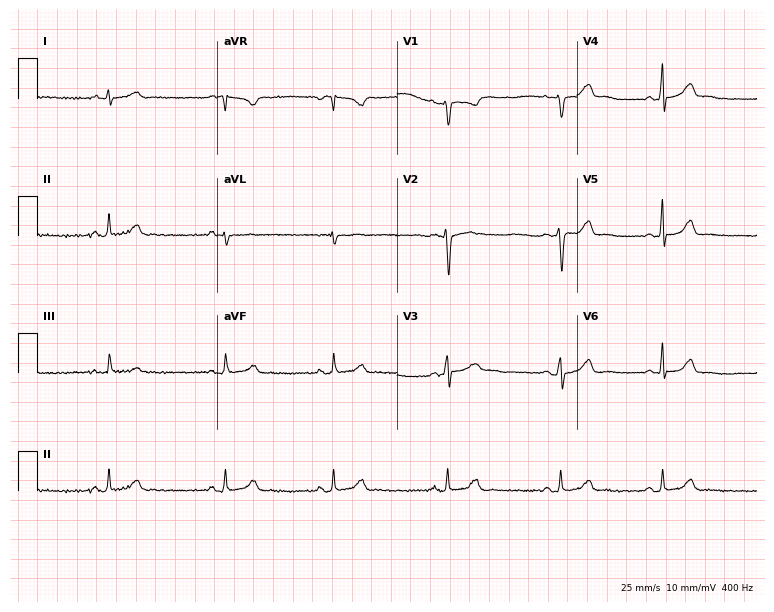
12-lead ECG from a 24-year-old female (7.3-second recording at 400 Hz). No first-degree AV block, right bundle branch block, left bundle branch block, sinus bradycardia, atrial fibrillation or sinus tachycardia recorded for this tracing.